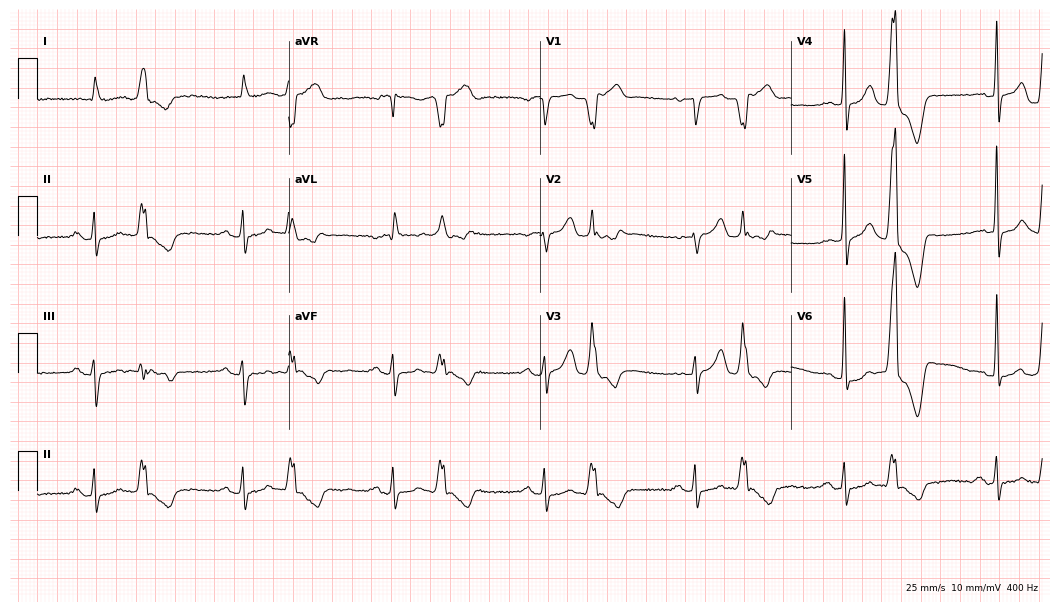
ECG (10.2-second recording at 400 Hz) — a female patient, 80 years old. Screened for six findings — first-degree AV block, right bundle branch block (RBBB), left bundle branch block (LBBB), sinus bradycardia, atrial fibrillation (AF), sinus tachycardia — none is recorded. Other findings, if any, are not listed.